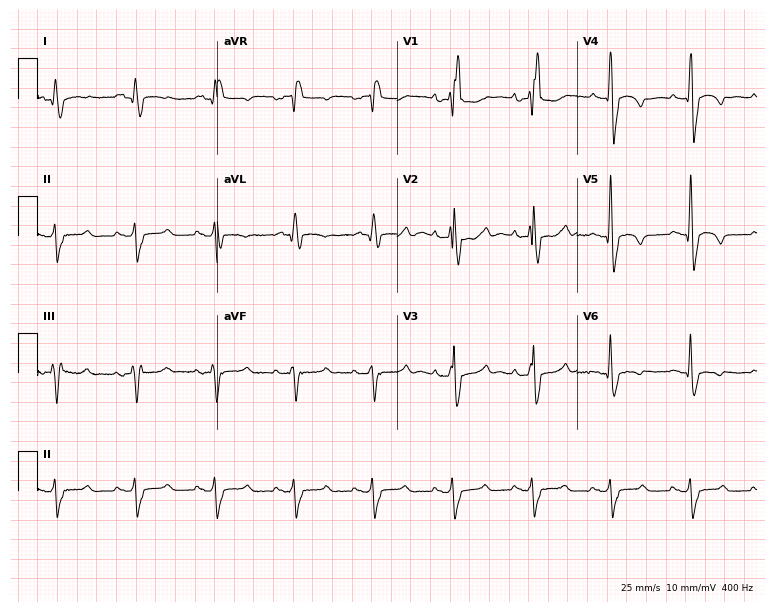
Electrocardiogram, a male patient, 81 years old. Interpretation includes right bundle branch block.